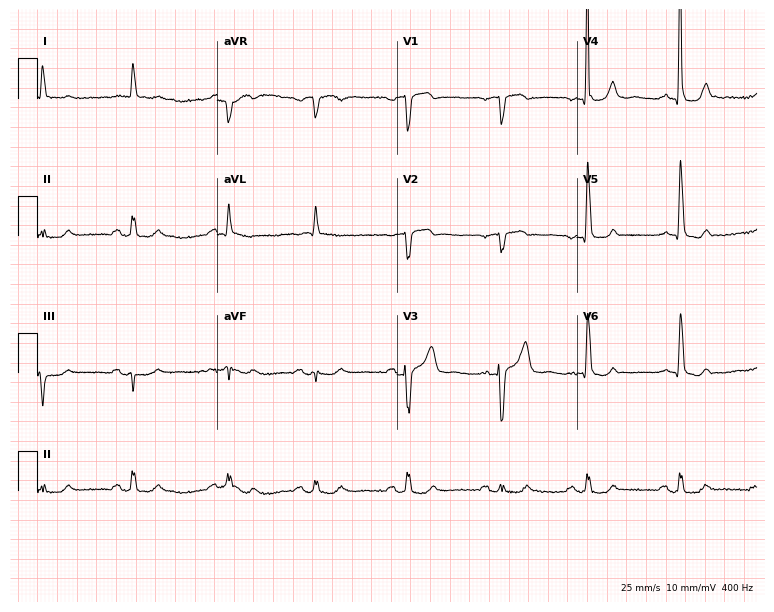
12-lead ECG from a male, 82 years old. Screened for six findings — first-degree AV block, right bundle branch block, left bundle branch block, sinus bradycardia, atrial fibrillation, sinus tachycardia — none is recorded. Findings outside these six are not listed.